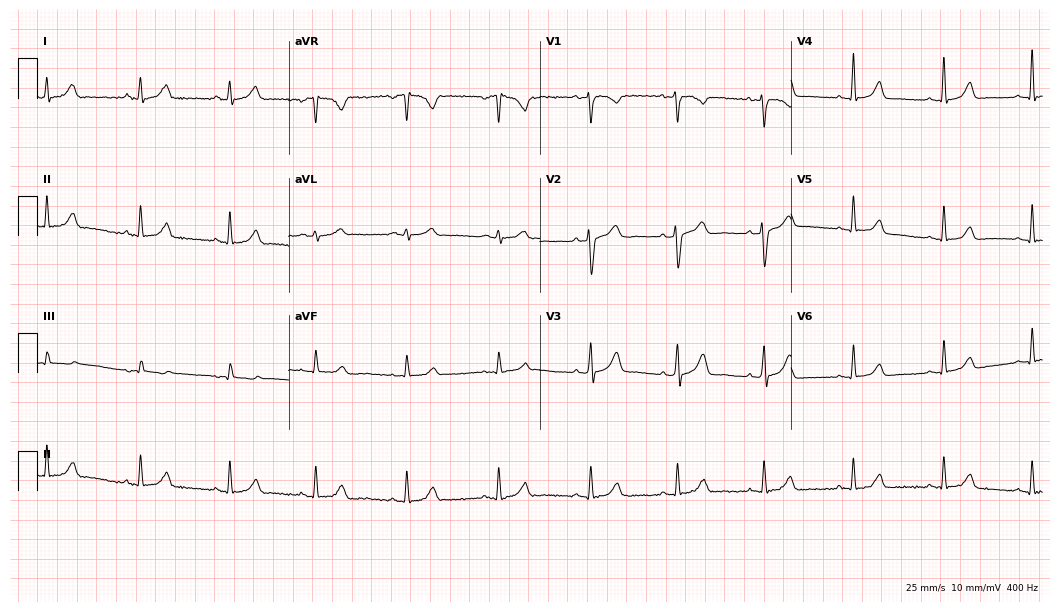
Standard 12-lead ECG recorded from a 46-year-old female patient. None of these six findings is recorded: first-degree AV block, right bundle branch block, left bundle branch block, sinus bradycardia, atrial fibrillation, sinus tachycardia. Findings outside these six are not listed.